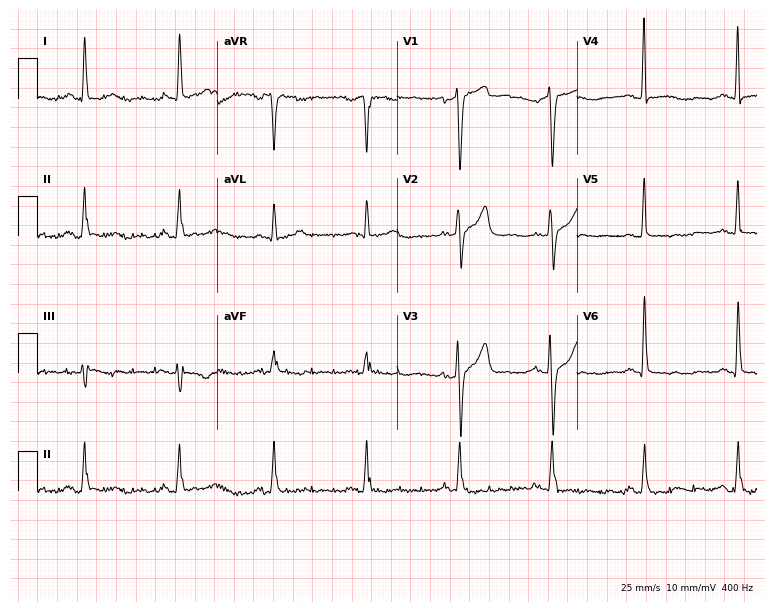
Electrocardiogram (7.3-second recording at 400 Hz), a 67-year-old man. Of the six screened findings (first-degree AV block, right bundle branch block (RBBB), left bundle branch block (LBBB), sinus bradycardia, atrial fibrillation (AF), sinus tachycardia), none is recorded. Only these six findings were labelled.